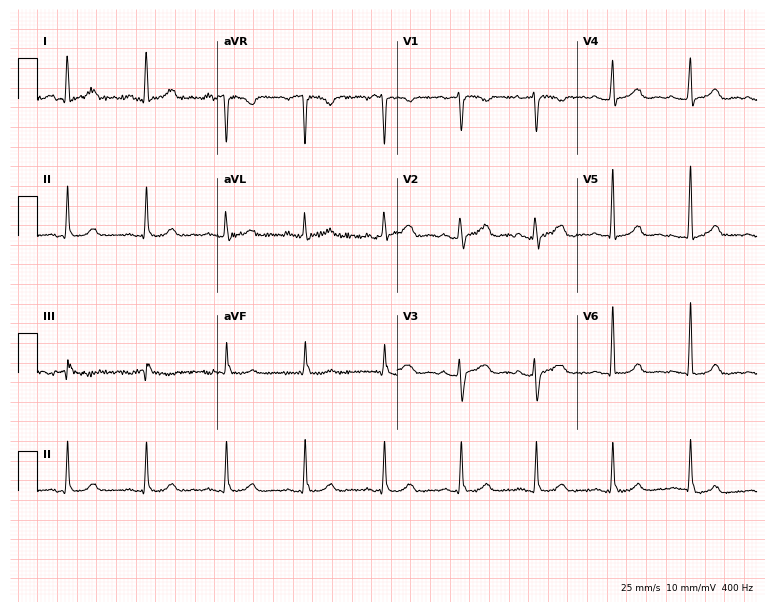
Electrocardiogram (7.3-second recording at 400 Hz), a 48-year-old female patient. Overall reading on record: normal ECG.